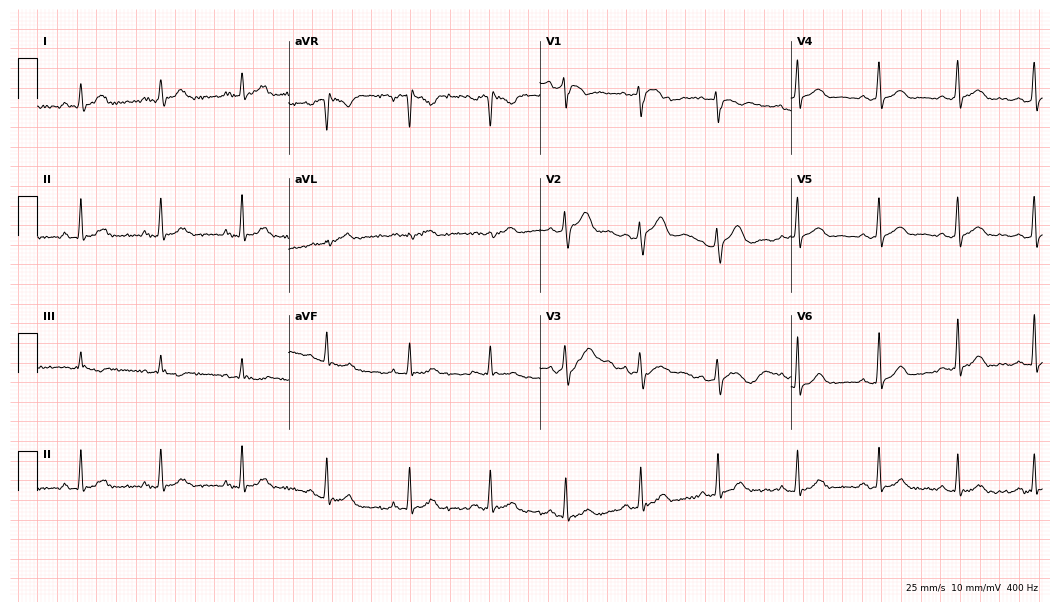
Electrocardiogram, a female, 29 years old. Overall reading on record: normal ECG.